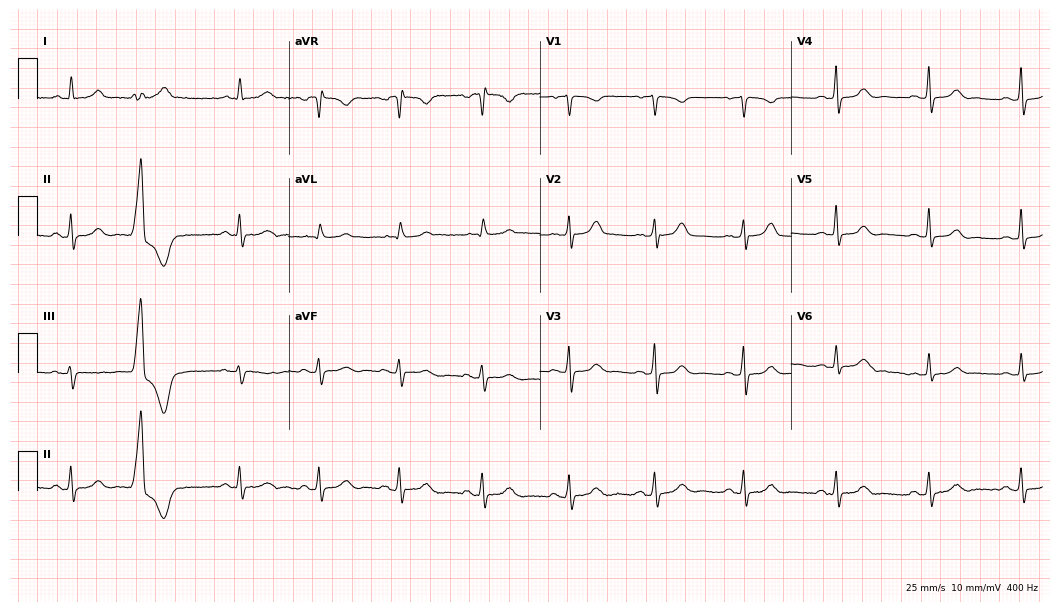
Standard 12-lead ECG recorded from a female, 59 years old. Read as a normal ECG.